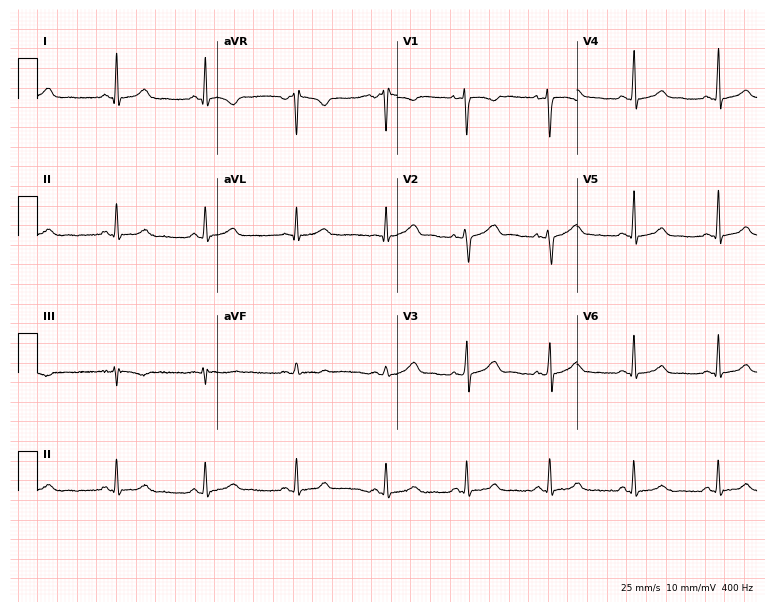
ECG — a woman, 33 years old. Labelled as a normal ECG.